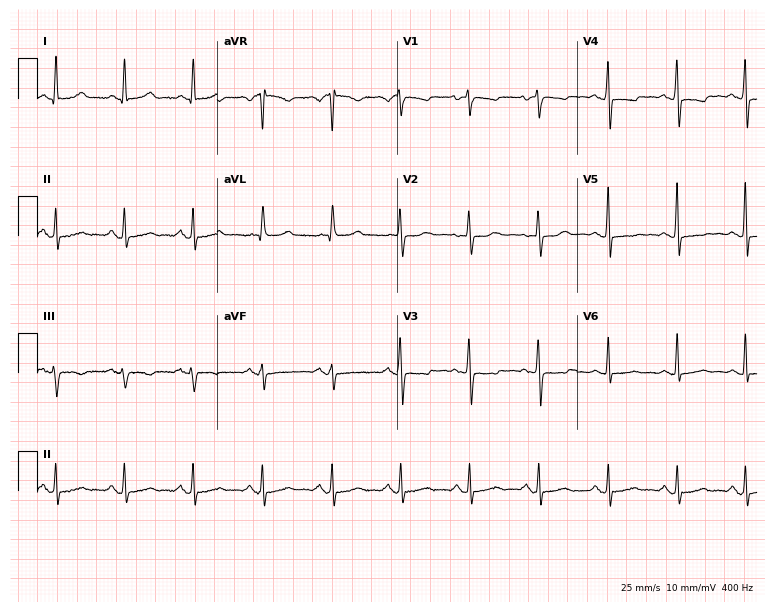
Electrocardiogram (7.3-second recording at 400 Hz), a 65-year-old female patient. Of the six screened findings (first-degree AV block, right bundle branch block (RBBB), left bundle branch block (LBBB), sinus bradycardia, atrial fibrillation (AF), sinus tachycardia), none is recorded. Findings outside these six are not listed.